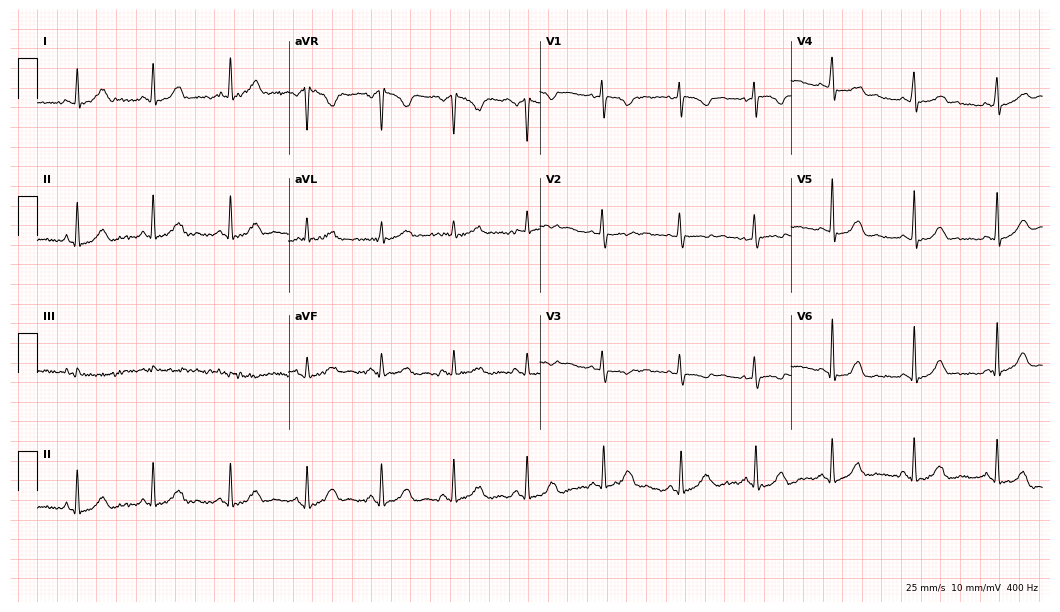
12-lead ECG from a 39-year-old female. Screened for six findings — first-degree AV block, right bundle branch block, left bundle branch block, sinus bradycardia, atrial fibrillation, sinus tachycardia — none is recorded.